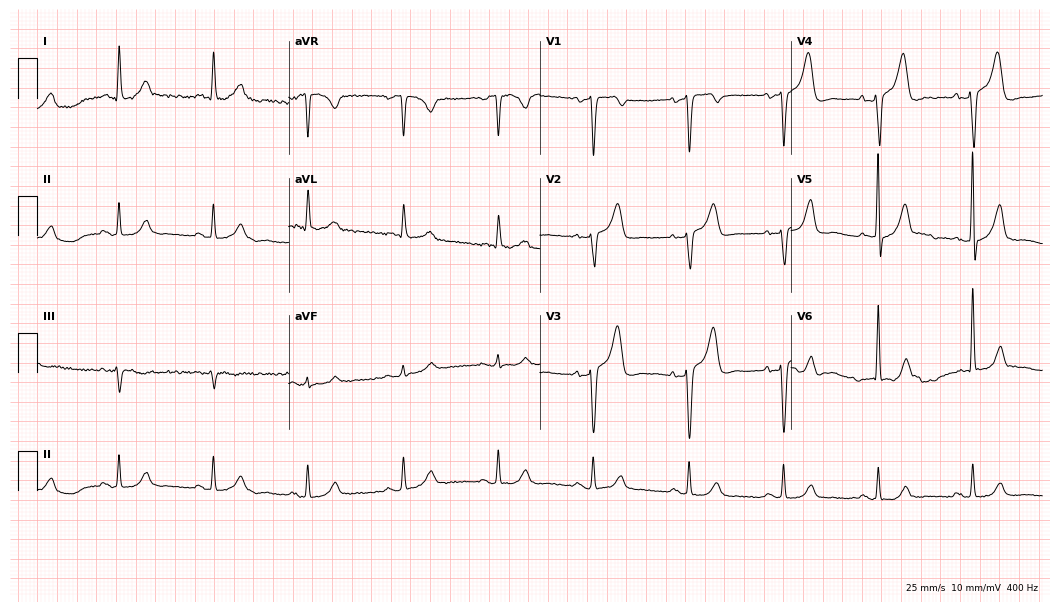
Standard 12-lead ECG recorded from a male patient, 76 years old. None of these six findings is recorded: first-degree AV block, right bundle branch block (RBBB), left bundle branch block (LBBB), sinus bradycardia, atrial fibrillation (AF), sinus tachycardia.